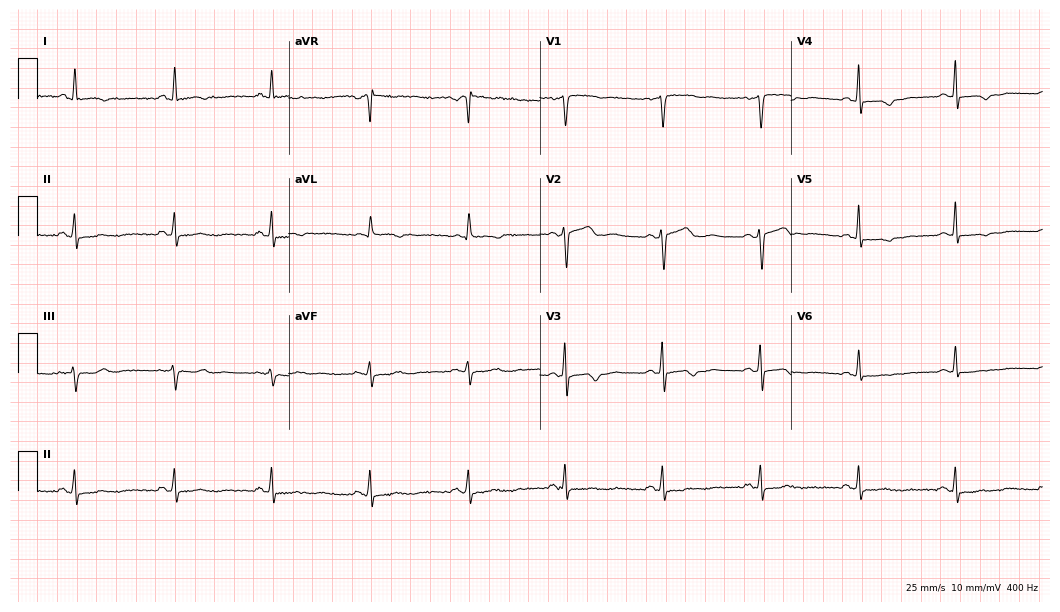
Electrocardiogram (10.2-second recording at 400 Hz), a 50-year-old female patient. Of the six screened findings (first-degree AV block, right bundle branch block, left bundle branch block, sinus bradycardia, atrial fibrillation, sinus tachycardia), none is recorded. Only these six findings were labelled.